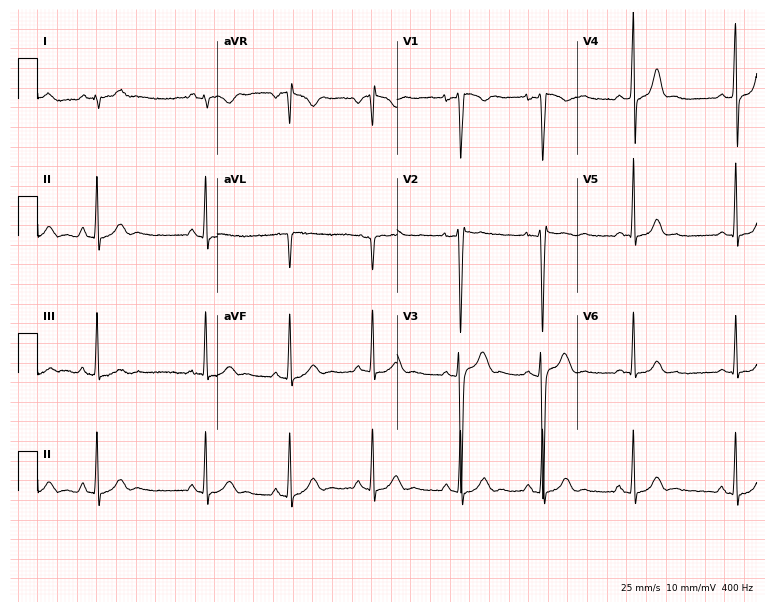
12-lead ECG from an 18-year-old male patient (7.3-second recording at 400 Hz). Recorded interpretation: within normal limits.